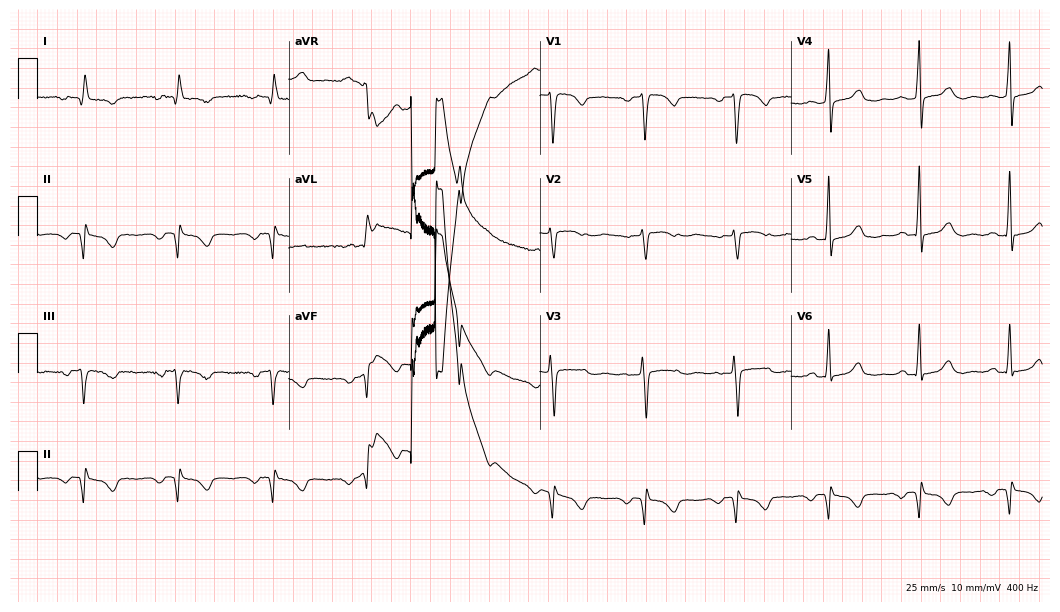
Electrocardiogram, a woman, 51 years old. Of the six screened findings (first-degree AV block, right bundle branch block, left bundle branch block, sinus bradycardia, atrial fibrillation, sinus tachycardia), none is recorded.